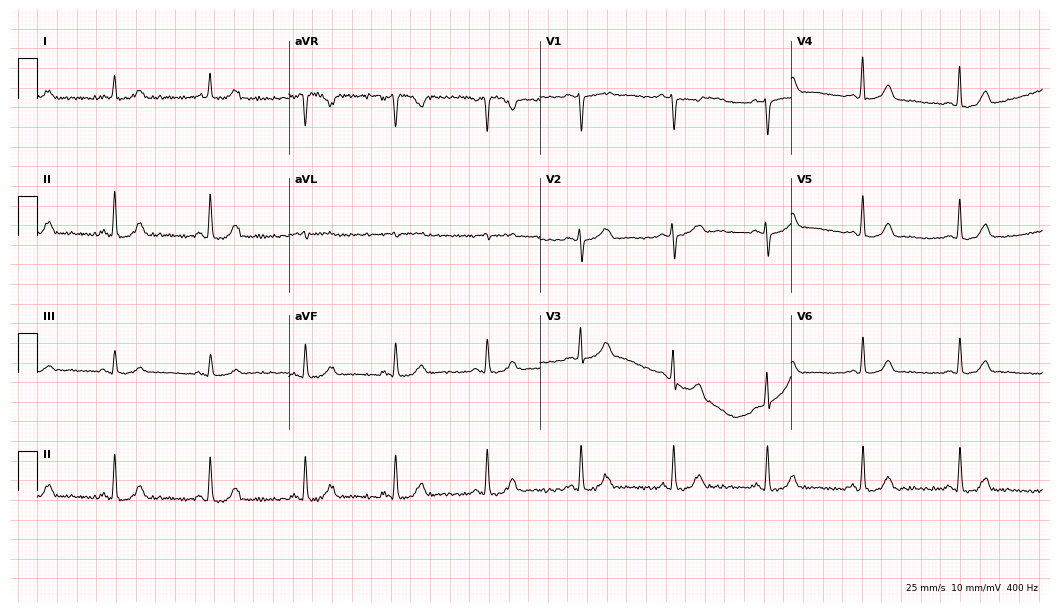
ECG — a woman, 47 years old. Labelled as a normal ECG.